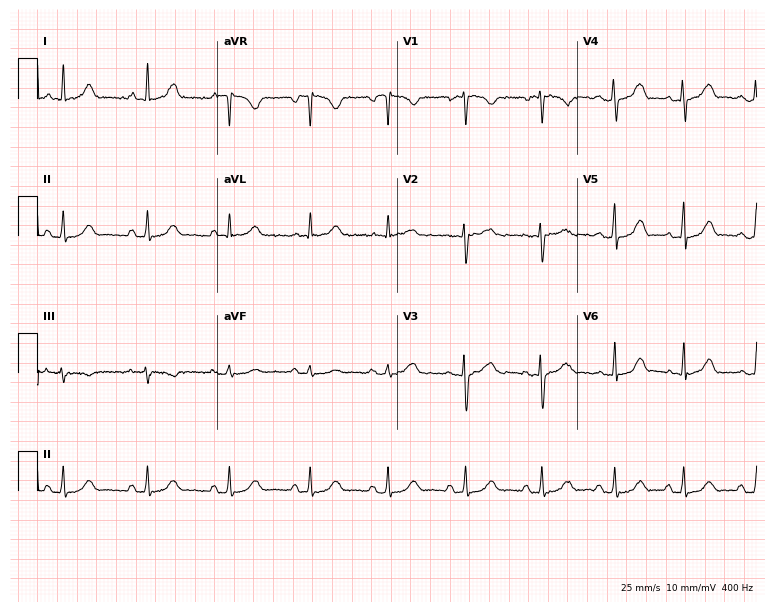
Resting 12-lead electrocardiogram (7.3-second recording at 400 Hz). Patient: a 34-year-old female. None of these six findings is recorded: first-degree AV block, right bundle branch block (RBBB), left bundle branch block (LBBB), sinus bradycardia, atrial fibrillation (AF), sinus tachycardia.